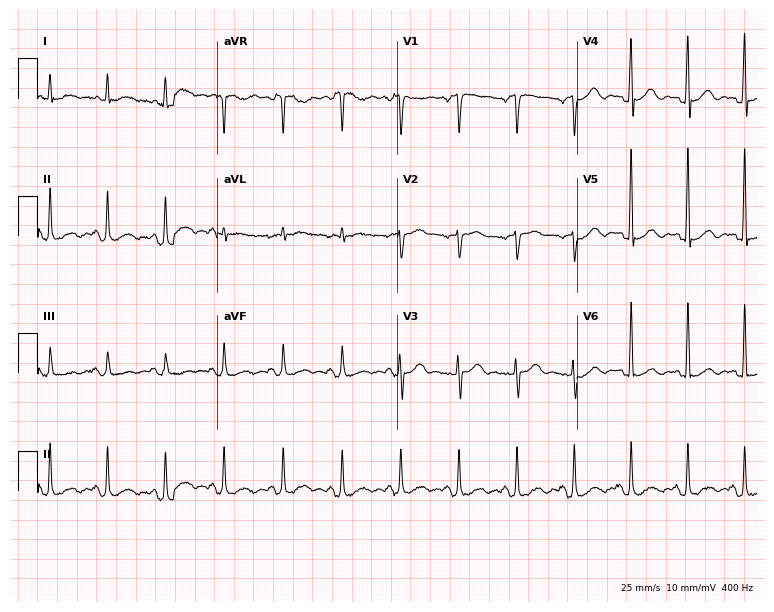
ECG — a male, 74 years old. Screened for six findings — first-degree AV block, right bundle branch block, left bundle branch block, sinus bradycardia, atrial fibrillation, sinus tachycardia — none is recorded.